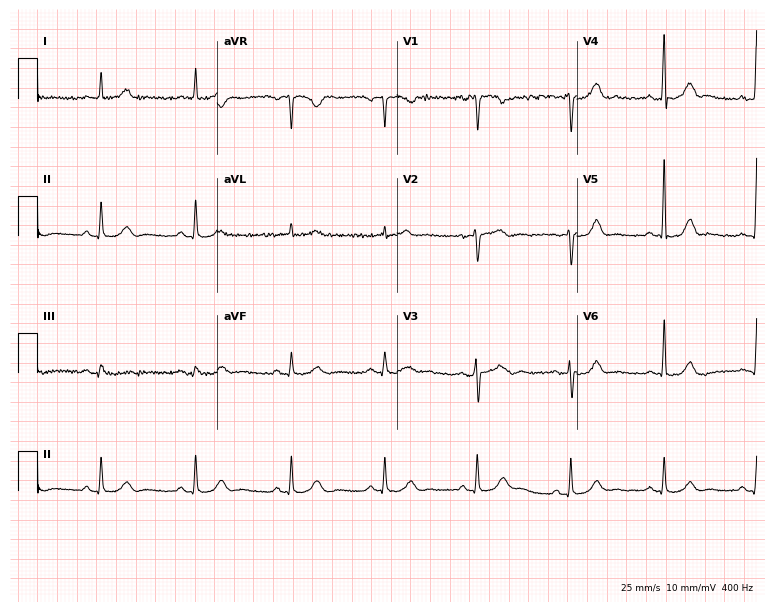
Resting 12-lead electrocardiogram (7.3-second recording at 400 Hz). Patient: a male, 44 years old. Read as a normal ECG.